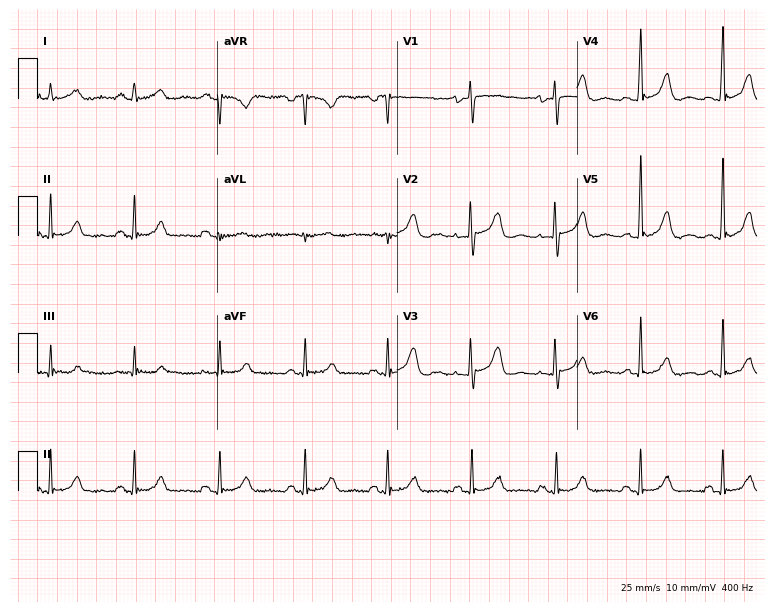
12-lead ECG (7.3-second recording at 400 Hz) from a woman, 31 years old. Screened for six findings — first-degree AV block, right bundle branch block (RBBB), left bundle branch block (LBBB), sinus bradycardia, atrial fibrillation (AF), sinus tachycardia — none is recorded.